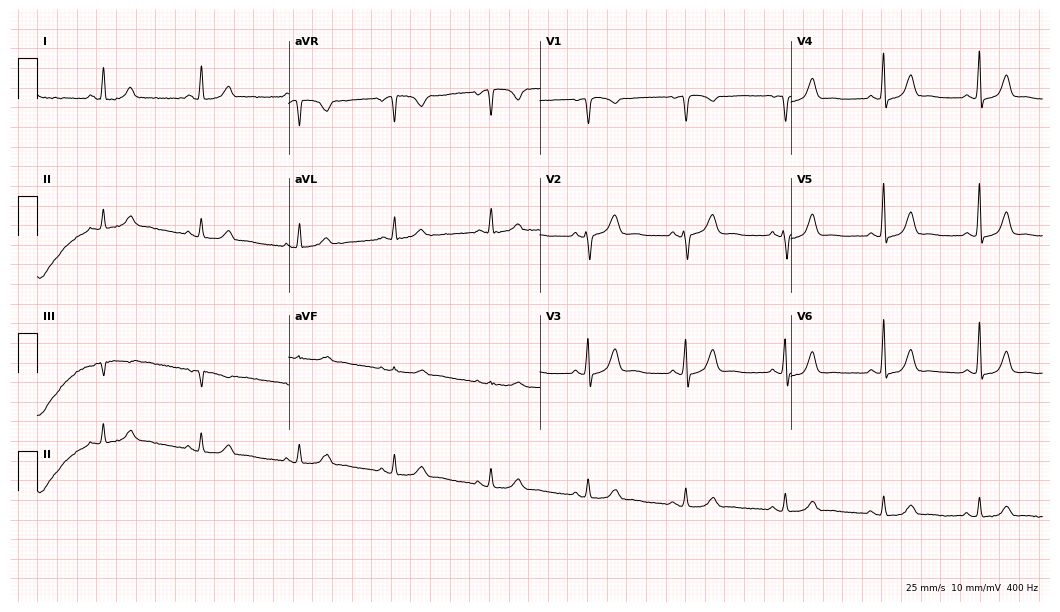
Resting 12-lead electrocardiogram (10.2-second recording at 400 Hz). Patient: a female, 64 years old. Read as a normal ECG.